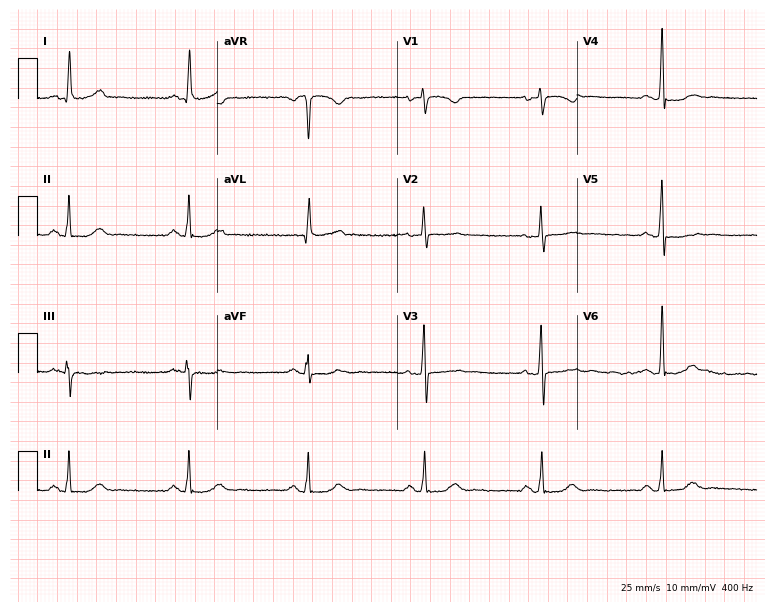
Electrocardiogram (7.3-second recording at 400 Hz), a female, 71 years old. Interpretation includes sinus bradycardia (a sinus rate of 50 beats per minute or less).